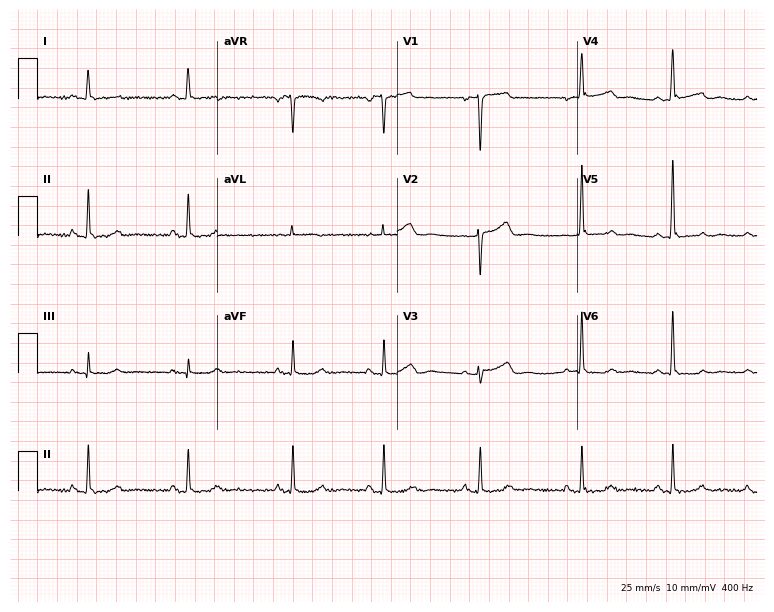
12-lead ECG from a 47-year-old female. Labelled as a normal ECG.